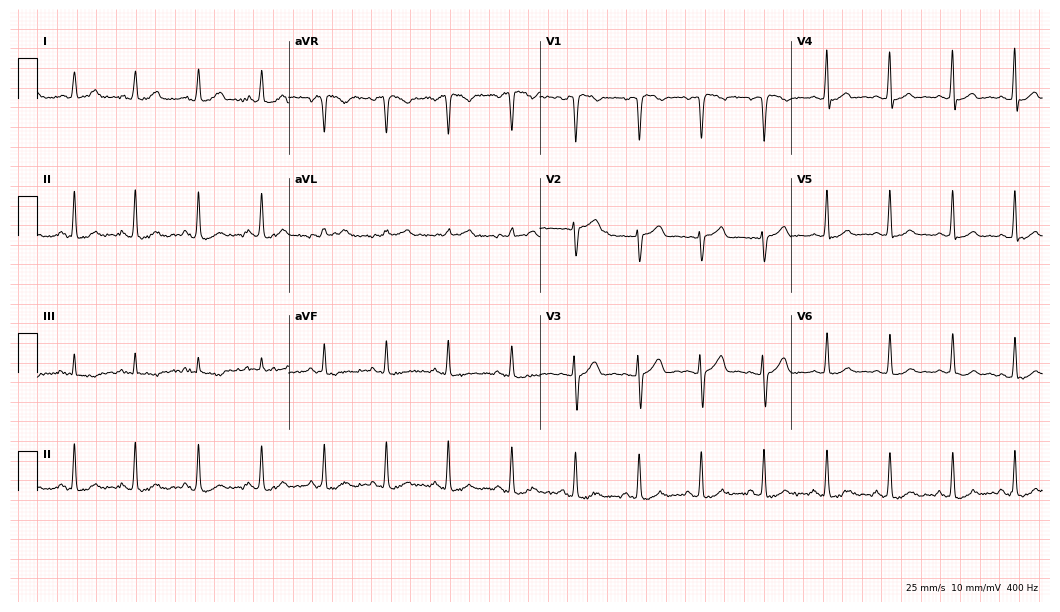
ECG (10.2-second recording at 400 Hz) — a 27-year-old woman. Labelled as a normal ECG.